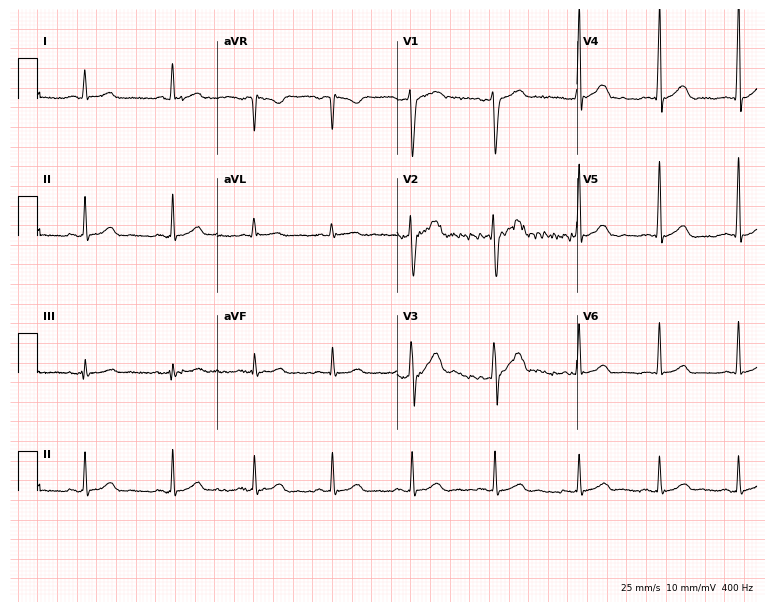
ECG — a male patient, 38 years old. Labelled as a normal ECG.